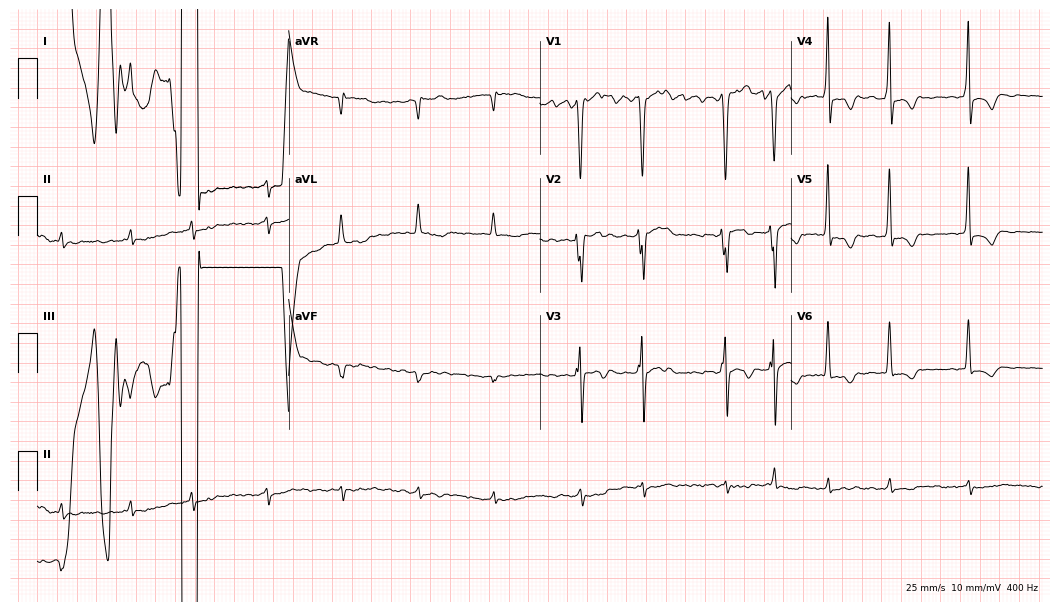
ECG — a 65-year-old male patient. Findings include atrial fibrillation (AF).